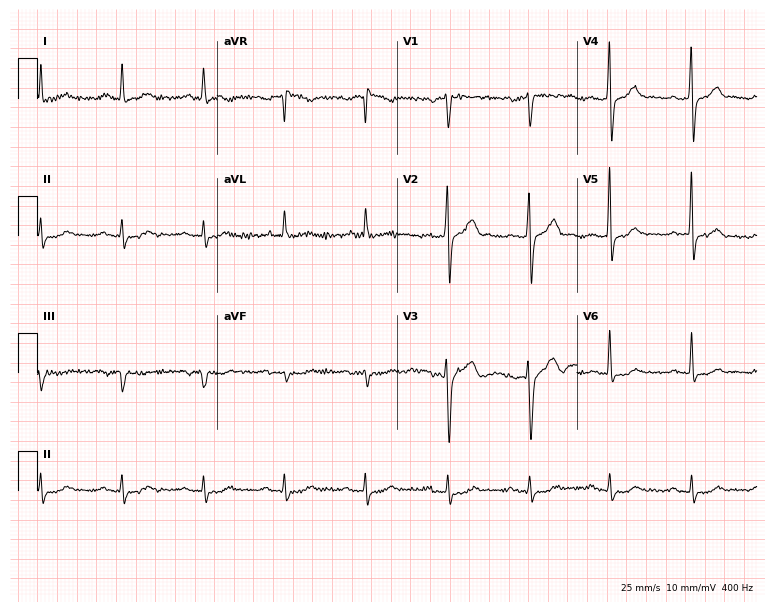
Electrocardiogram (7.3-second recording at 400 Hz), a 67-year-old man. Of the six screened findings (first-degree AV block, right bundle branch block (RBBB), left bundle branch block (LBBB), sinus bradycardia, atrial fibrillation (AF), sinus tachycardia), none is recorded.